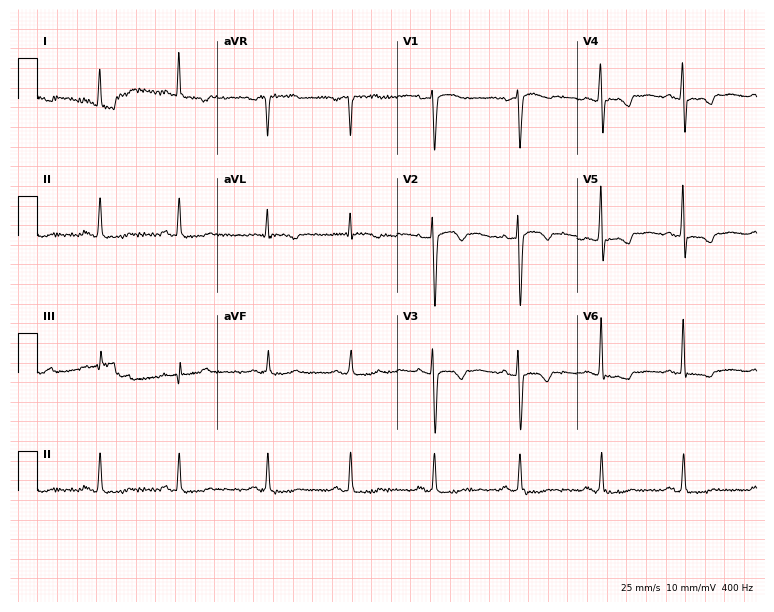
Resting 12-lead electrocardiogram. Patient: a woman, 44 years old. None of these six findings is recorded: first-degree AV block, right bundle branch block, left bundle branch block, sinus bradycardia, atrial fibrillation, sinus tachycardia. Other findings, if any, are not listed.